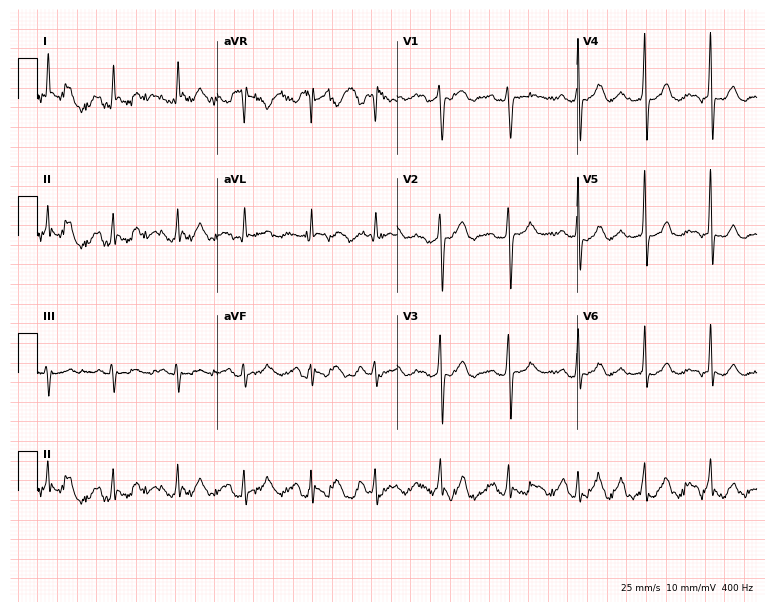
Electrocardiogram (7.3-second recording at 400 Hz), a man, 76 years old. Of the six screened findings (first-degree AV block, right bundle branch block, left bundle branch block, sinus bradycardia, atrial fibrillation, sinus tachycardia), none is recorded.